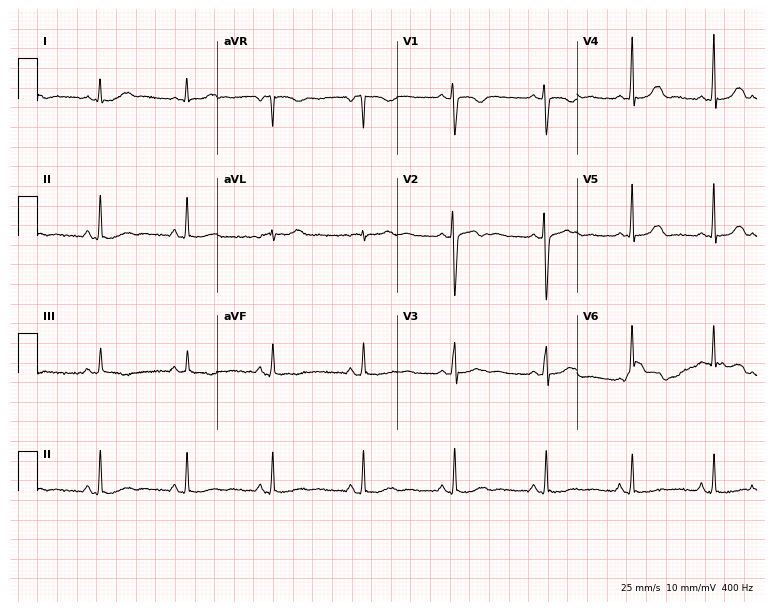
ECG — a woman, 36 years old. Labelled as a normal ECG.